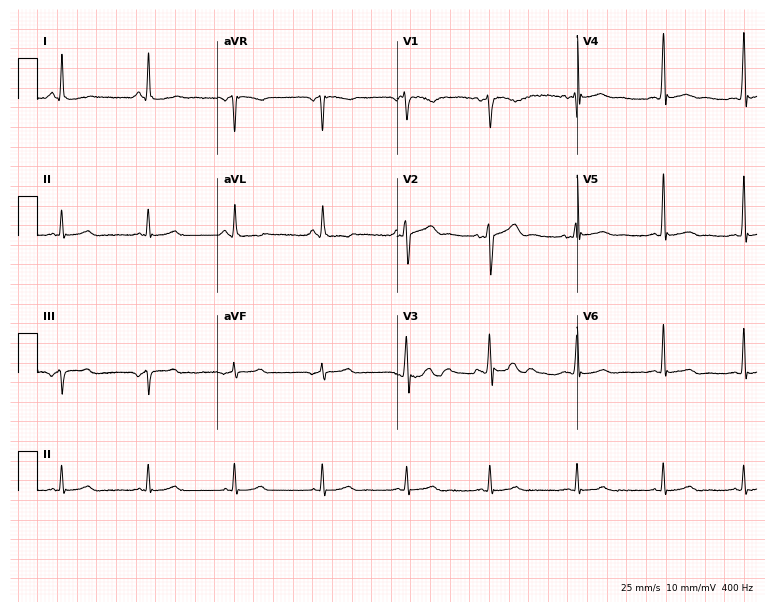
ECG (7.3-second recording at 400 Hz) — a 34-year-old man. Labelled as a normal ECG.